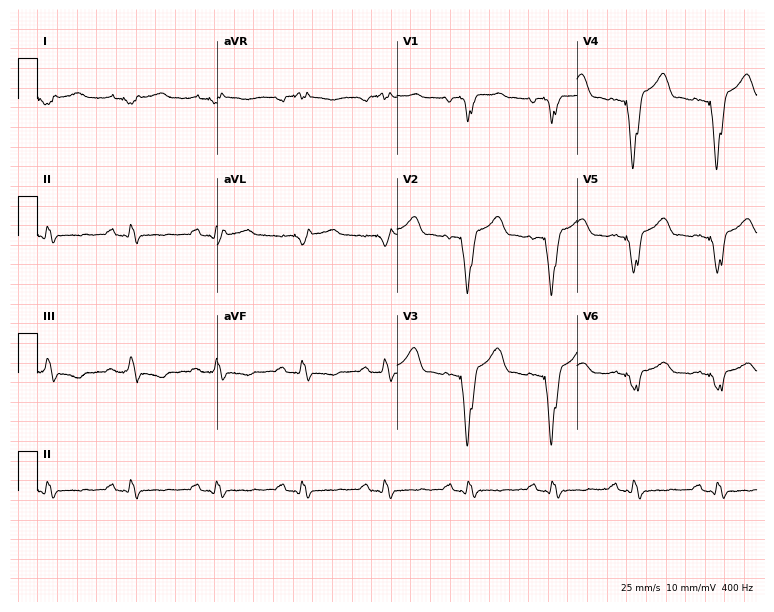
Resting 12-lead electrocardiogram. Patient: a 55-year-old female. None of these six findings is recorded: first-degree AV block, right bundle branch block, left bundle branch block, sinus bradycardia, atrial fibrillation, sinus tachycardia.